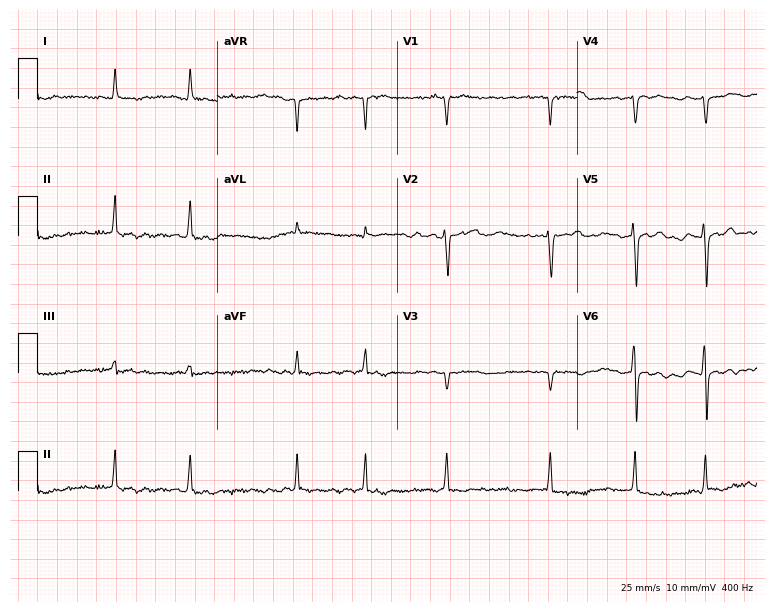
Standard 12-lead ECG recorded from an 84-year-old female (7.3-second recording at 400 Hz). The tracing shows atrial fibrillation.